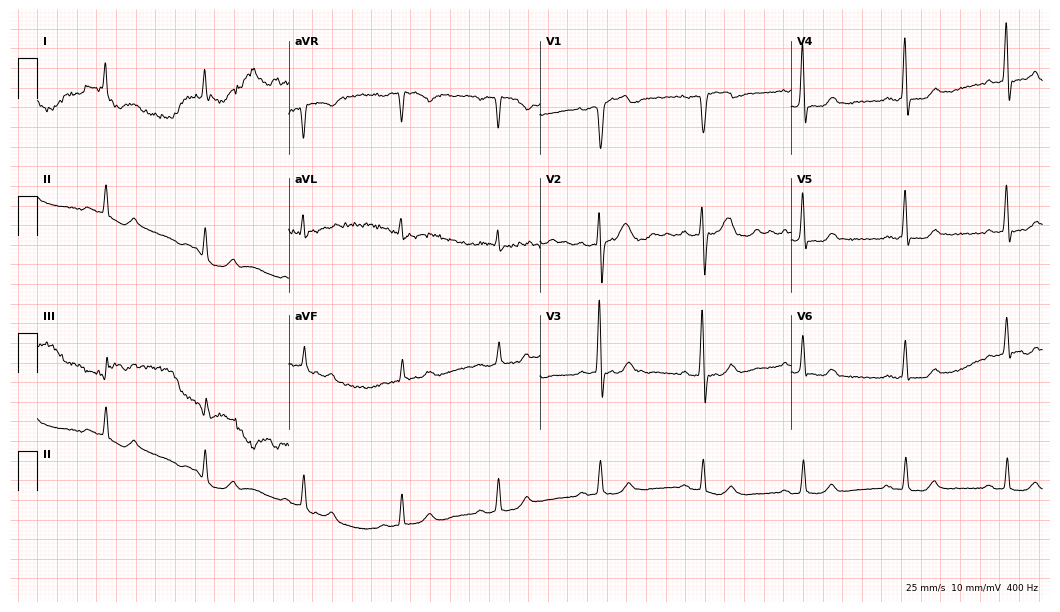
Standard 12-lead ECG recorded from a 58-year-old male (10.2-second recording at 400 Hz). Read as a normal ECG.